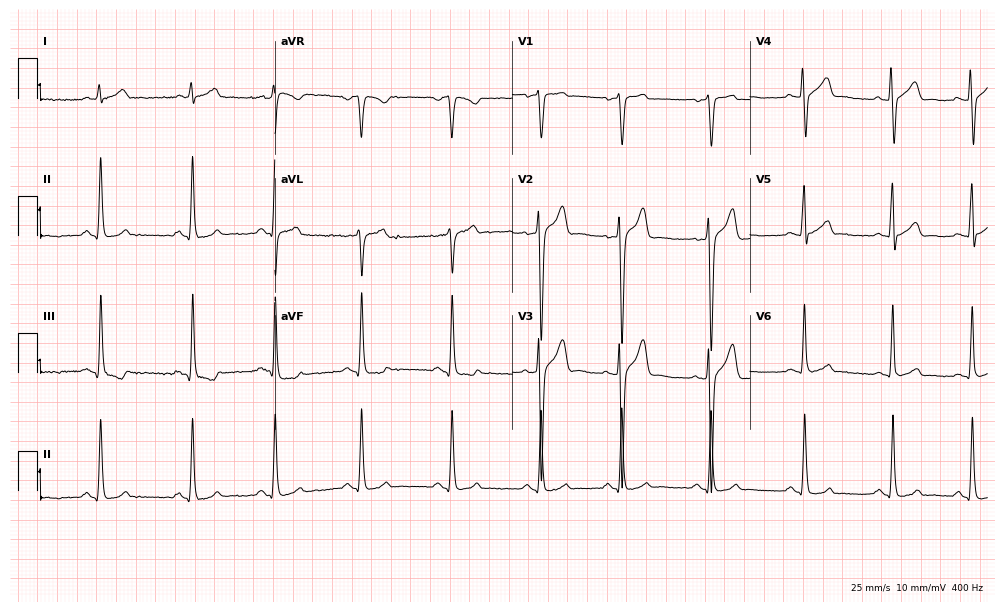
Resting 12-lead electrocardiogram. Patient: a 30-year-old male. Read as a normal ECG.